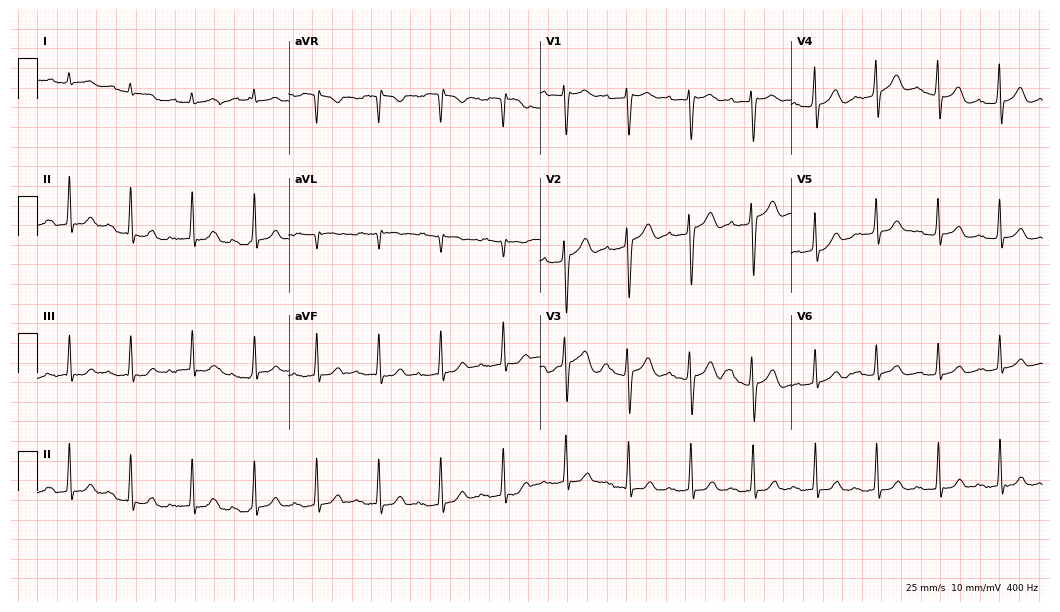
Standard 12-lead ECG recorded from a 72-year-old man. None of these six findings is recorded: first-degree AV block, right bundle branch block, left bundle branch block, sinus bradycardia, atrial fibrillation, sinus tachycardia. Other findings, if any, are not listed.